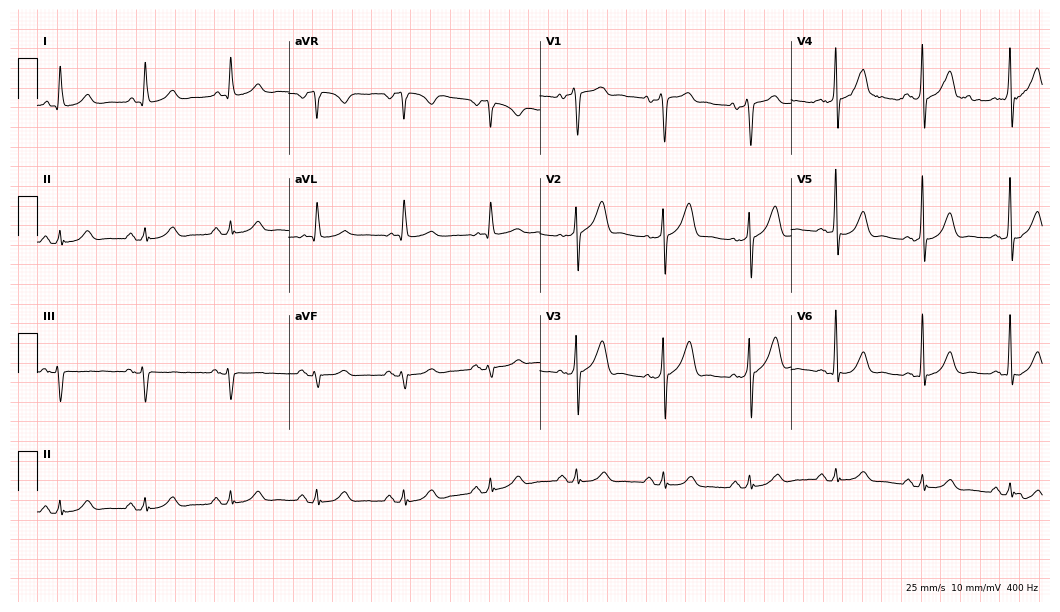
ECG — a 70-year-old man. Labelled as a normal ECG.